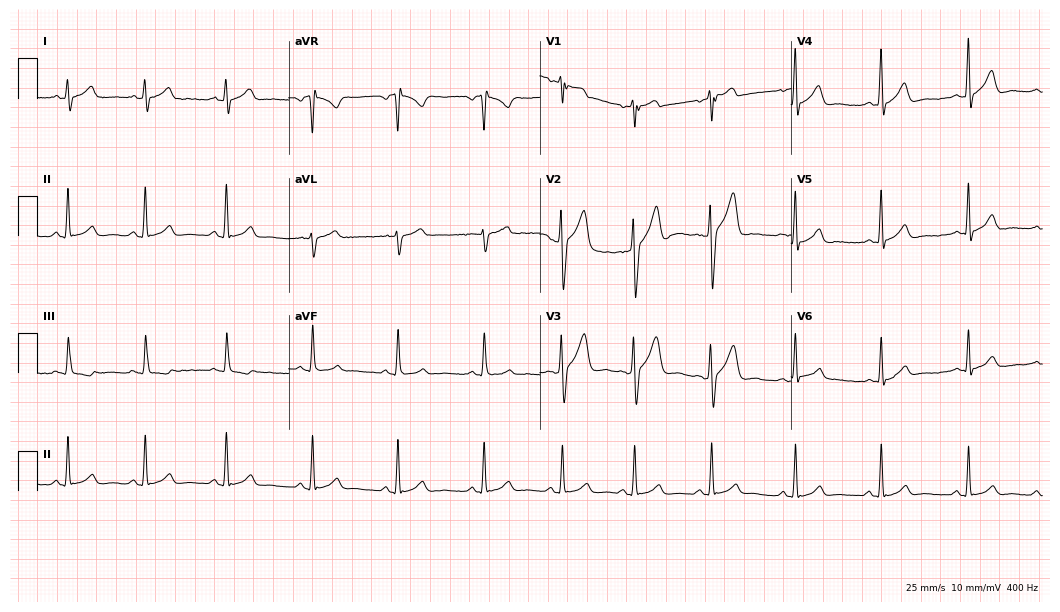
12-lead ECG (10.2-second recording at 400 Hz) from a man, 35 years old. Labelled as a normal ECG.